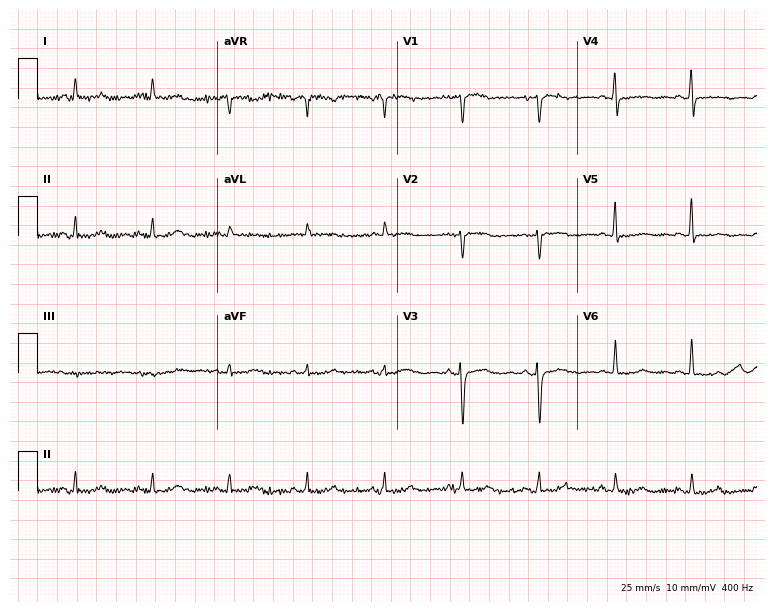
12-lead ECG from a 50-year-old woman. Screened for six findings — first-degree AV block, right bundle branch block (RBBB), left bundle branch block (LBBB), sinus bradycardia, atrial fibrillation (AF), sinus tachycardia — none is recorded. Only these six findings were labelled.